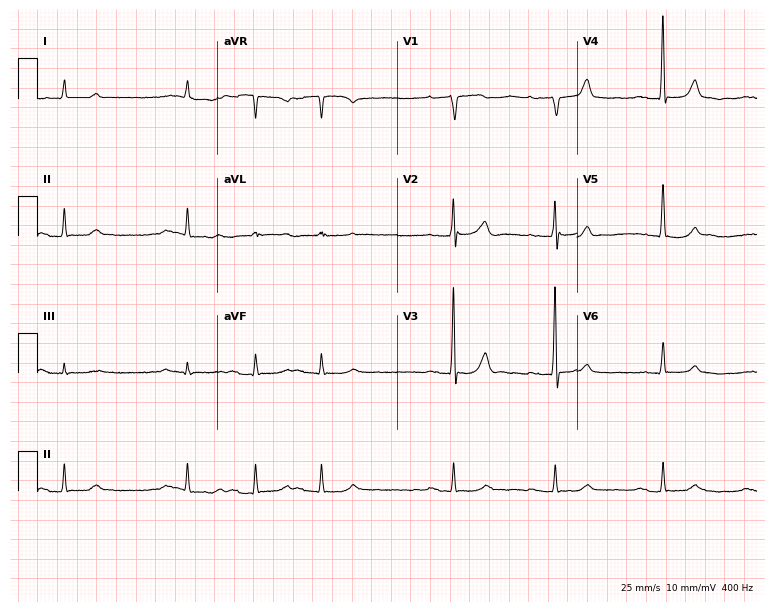
ECG — an 84-year-old man. Screened for six findings — first-degree AV block, right bundle branch block, left bundle branch block, sinus bradycardia, atrial fibrillation, sinus tachycardia — none is recorded.